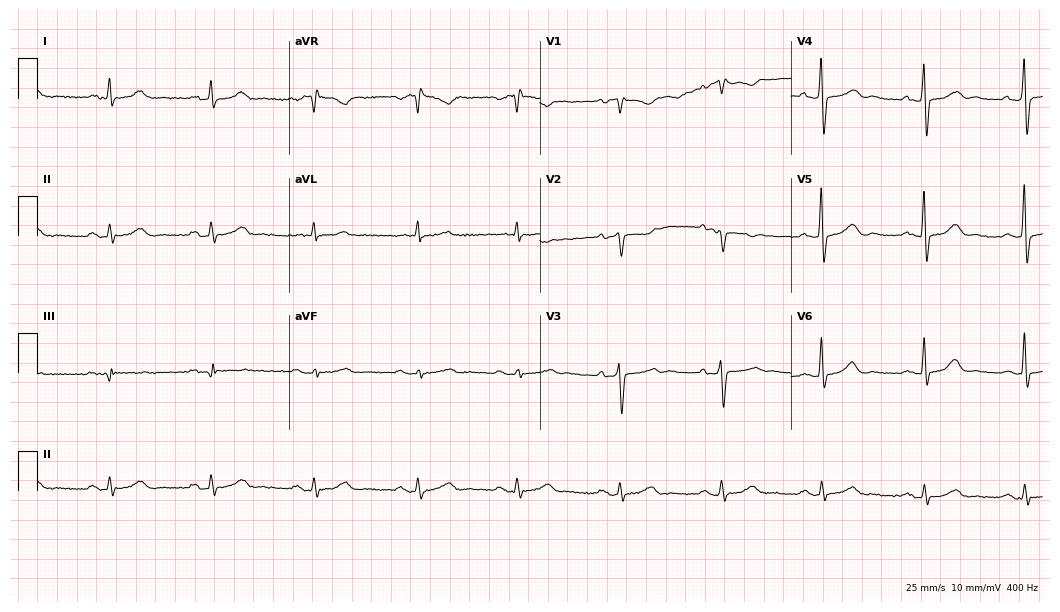
Standard 12-lead ECG recorded from a 73-year-old man. Read as a normal ECG.